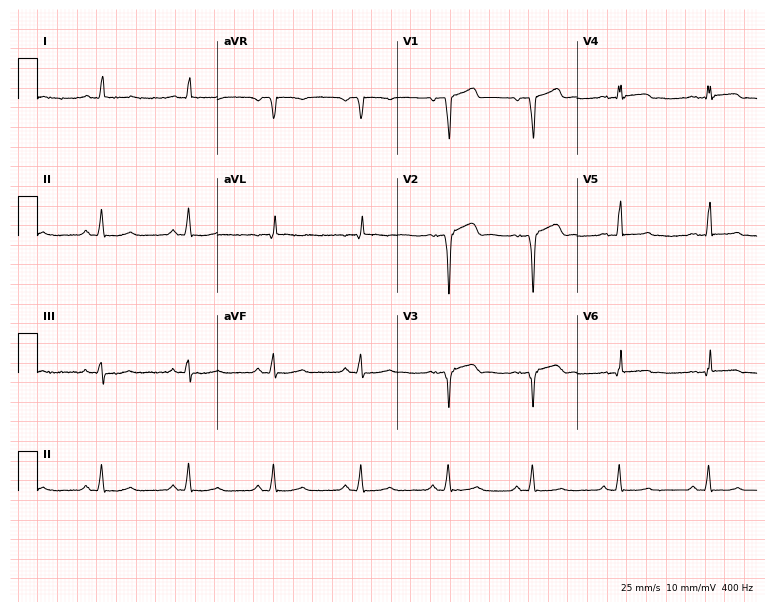
Resting 12-lead electrocardiogram (7.3-second recording at 400 Hz). Patient: a male, 62 years old. None of these six findings is recorded: first-degree AV block, right bundle branch block, left bundle branch block, sinus bradycardia, atrial fibrillation, sinus tachycardia.